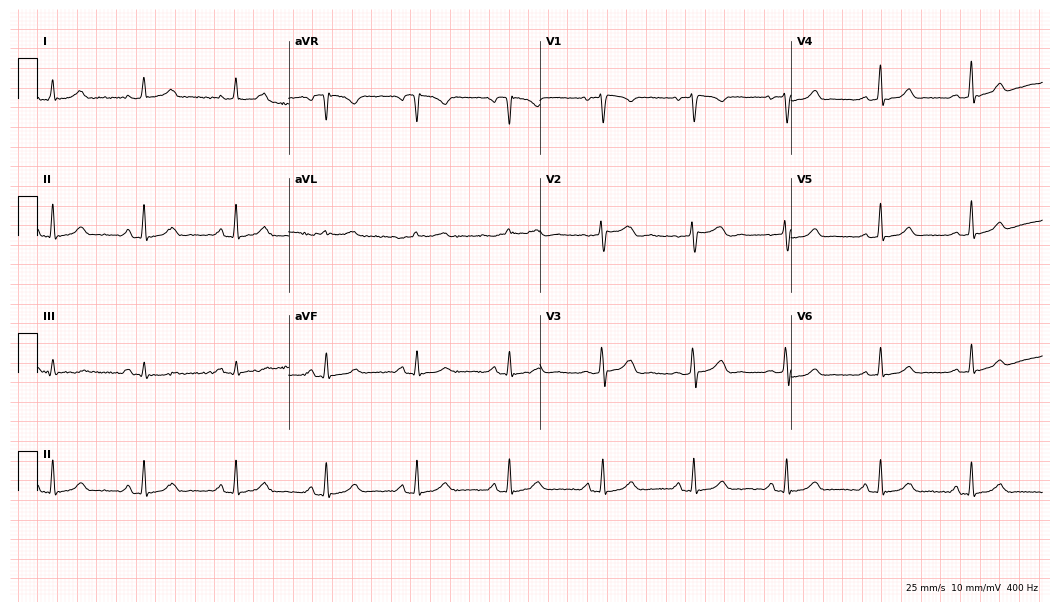
12-lead ECG from a female, 45 years old. Labelled as a normal ECG.